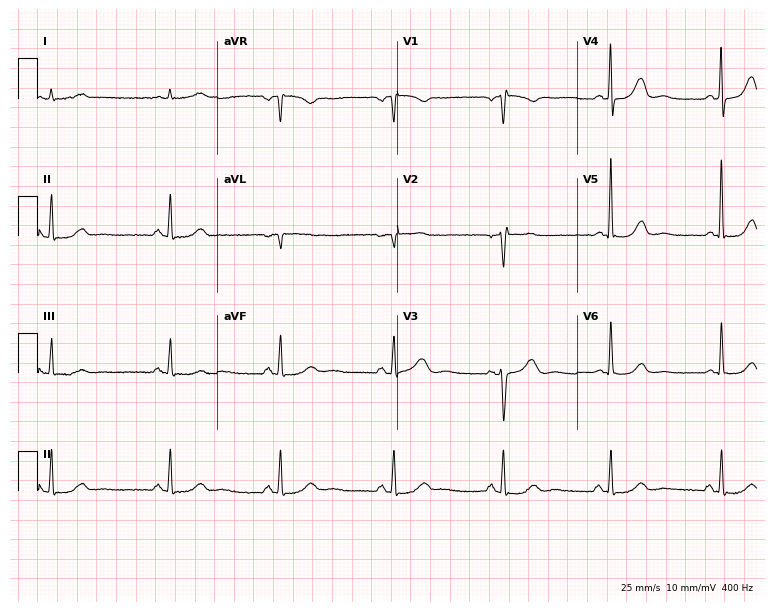
Resting 12-lead electrocardiogram. Patient: a 60-year-old female. None of these six findings is recorded: first-degree AV block, right bundle branch block, left bundle branch block, sinus bradycardia, atrial fibrillation, sinus tachycardia.